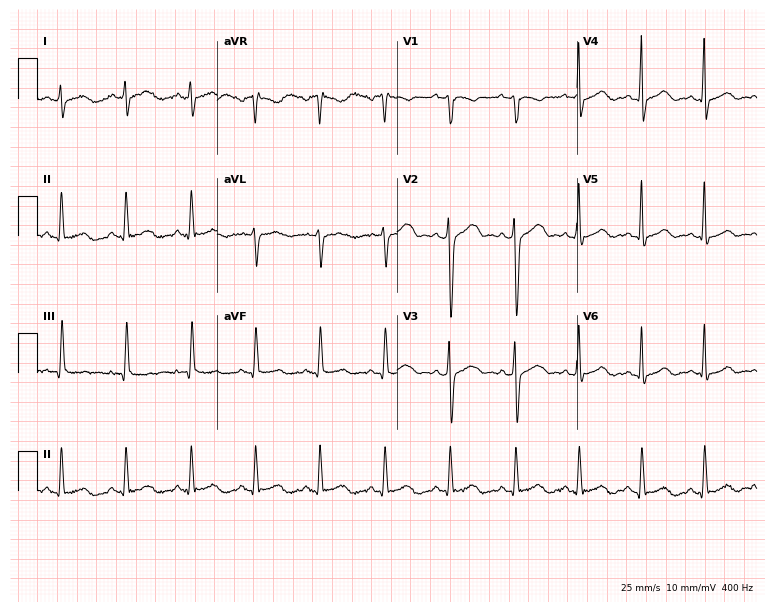
Standard 12-lead ECG recorded from a 26-year-old woman. Read as a normal ECG.